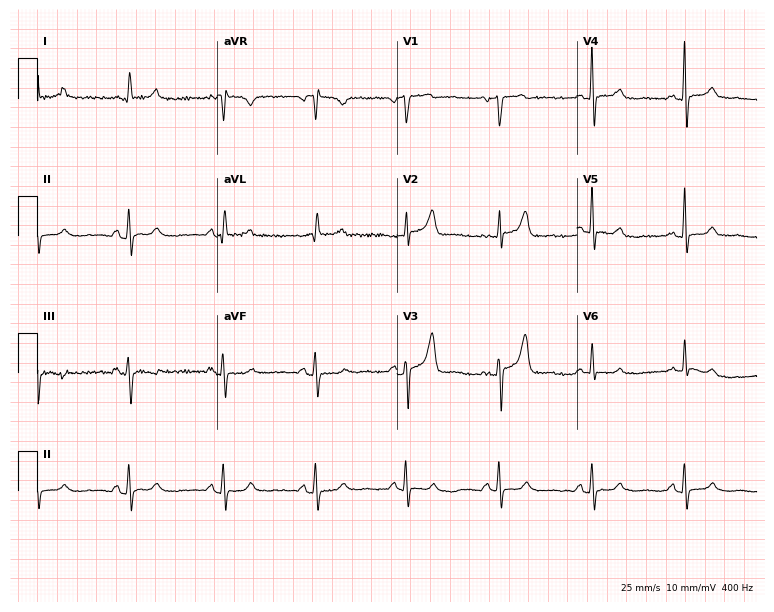
Electrocardiogram (7.3-second recording at 400 Hz), a 77-year-old female patient. Of the six screened findings (first-degree AV block, right bundle branch block (RBBB), left bundle branch block (LBBB), sinus bradycardia, atrial fibrillation (AF), sinus tachycardia), none is recorded.